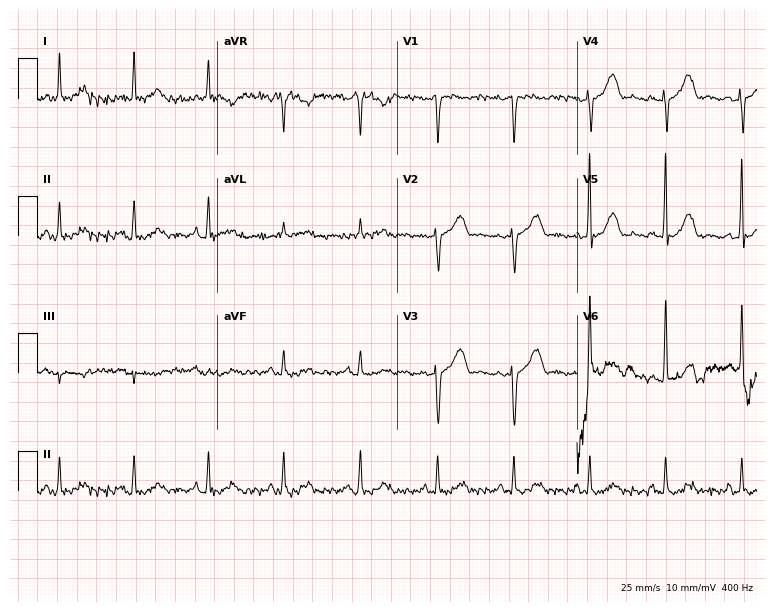
12-lead ECG from a female patient, 82 years old. Screened for six findings — first-degree AV block, right bundle branch block, left bundle branch block, sinus bradycardia, atrial fibrillation, sinus tachycardia — none is recorded.